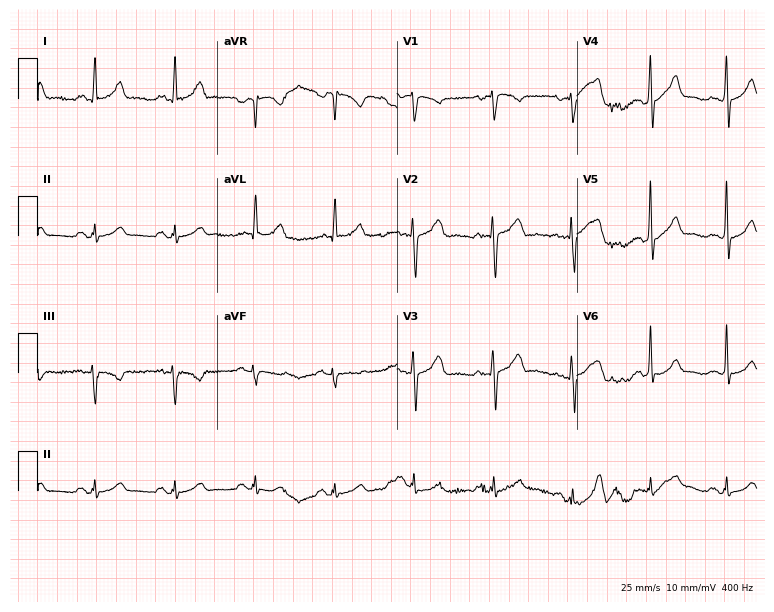
12-lead ECG from a woman, 46 years old. Labelled as a normal ECG.